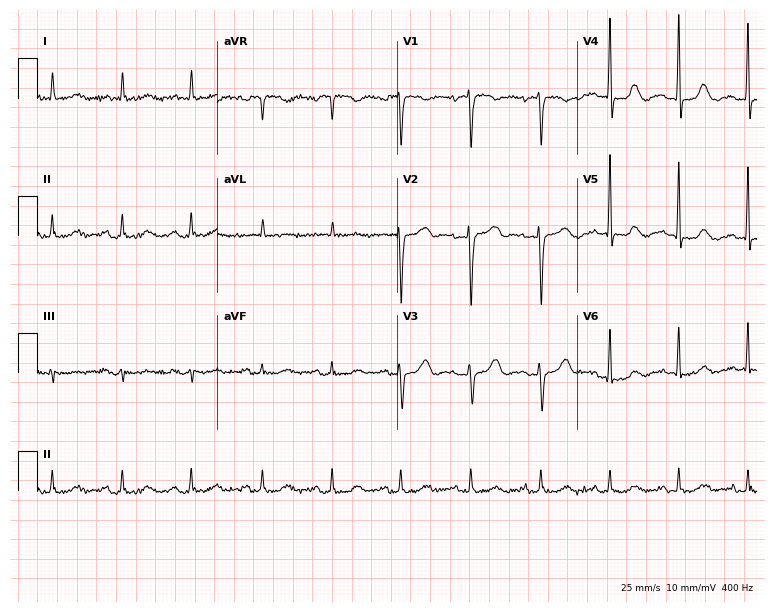
12-lead ECG from a woman, 85 years old. Labelled as a normal ECG.